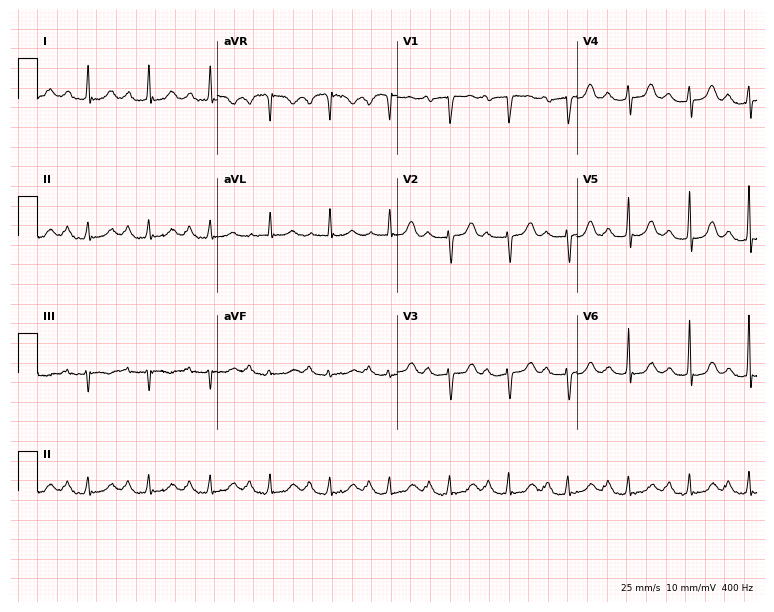
Standard 12-lead ECG recorded from an 82-year-old female. The tracing shows first-degree AV block.